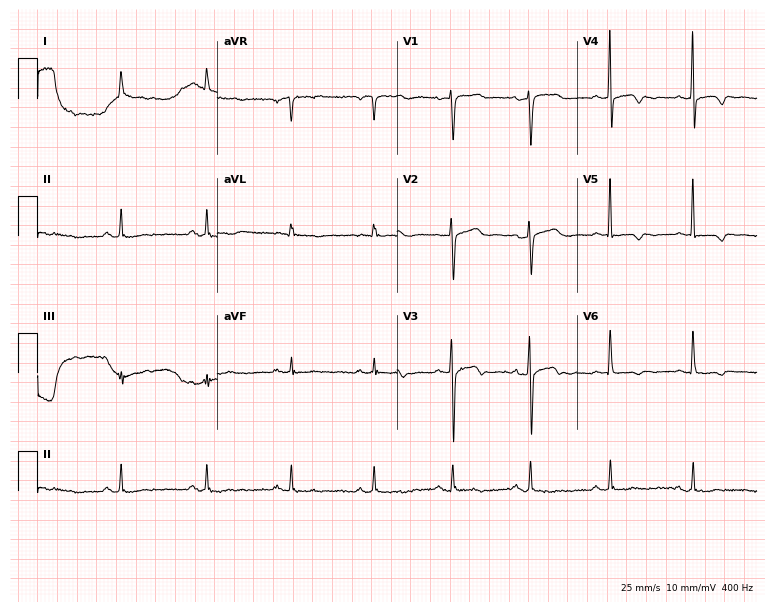
Standard 12-lead ECG recorded from a female patient, 64 years old. None of these six findings is recorded: first-degree AV block, right bundle branch block, left bundle branch block, sinus bradycardia, atrial fibrillation, sinus tachycardia.